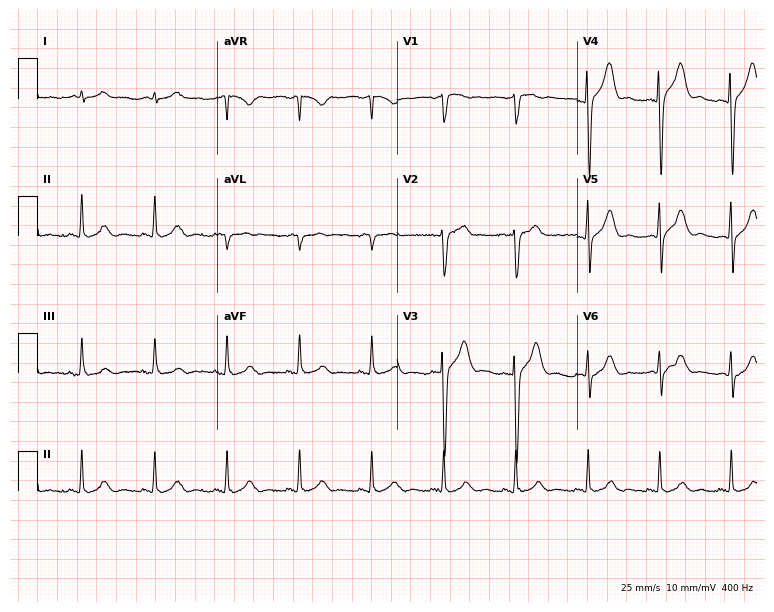
Standard 12-lead ECG recorded from a 49-year-old man (7.3-second recording at 400 Hz). Read as a normal ECG.